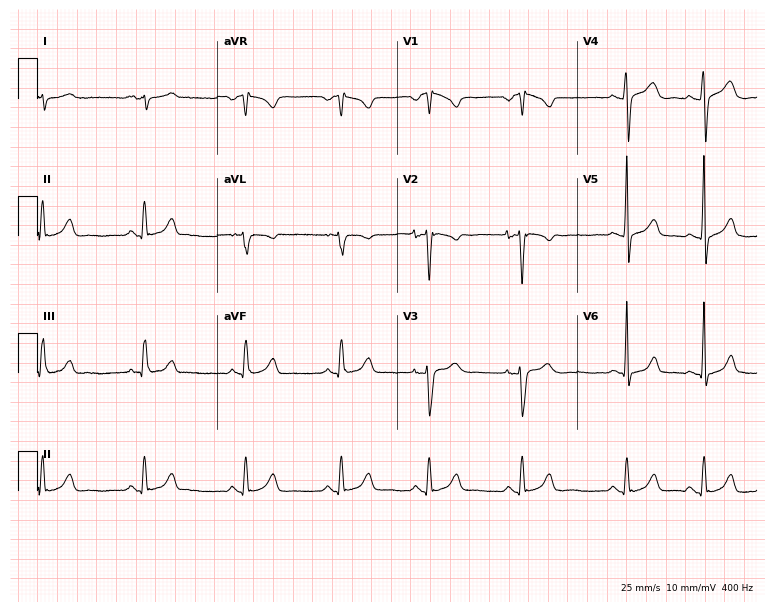
12-lead ECG from a male patient, 22 years old. No first-degree AV block, right bundle branch block (RBBB), left bundle branch block (LBBB), sinus bradycardia, atrial fibrillation (AF) or sinus tachycardia recorded for this tracing.